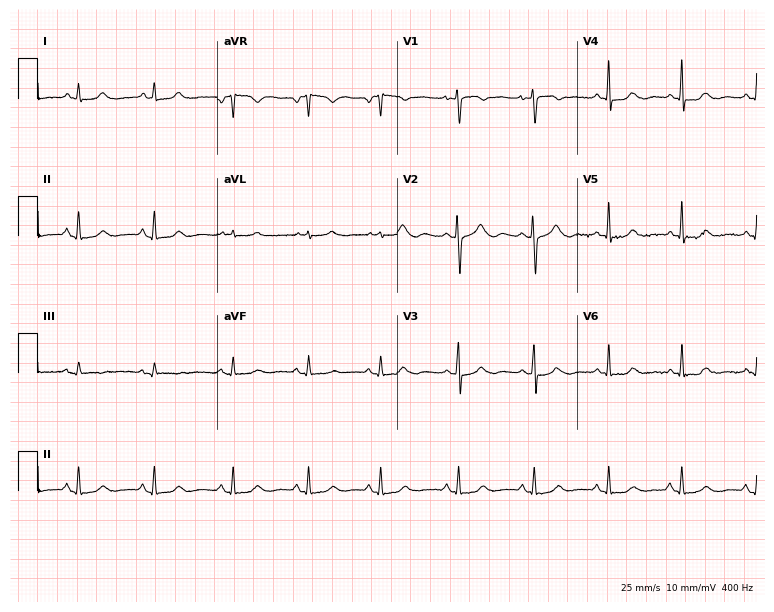
12-lead ECG from a 30-year-old female patient. No first-degree AV block, right bundle branch block (RBBB), left bundle branch block (LBBB), sinus bradycardia, atrial fibrillation (AF) or sinus tachycardia recorded for this tracing. Findings outside these six are not listed.